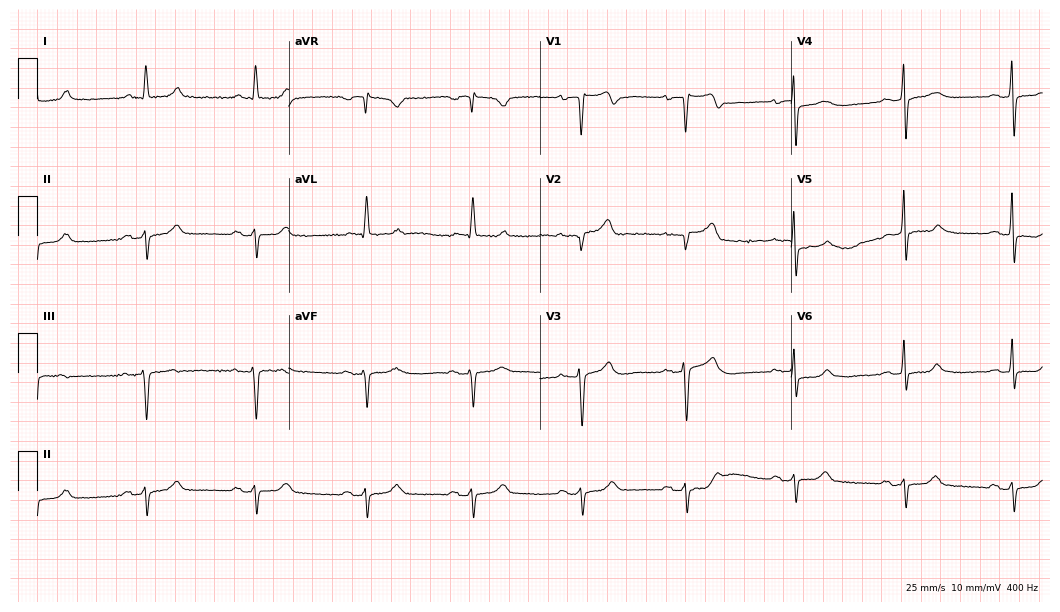
Resting 12-lead electrocardiogram. Patient: a 74-year-old male. None of these six findings is recorded: first-degree AV block, right bundle branch block, left bundle branch block, sinus bradycardia, atrial fibrillation, sinus tachycardia. Findings outside these six are not listed.